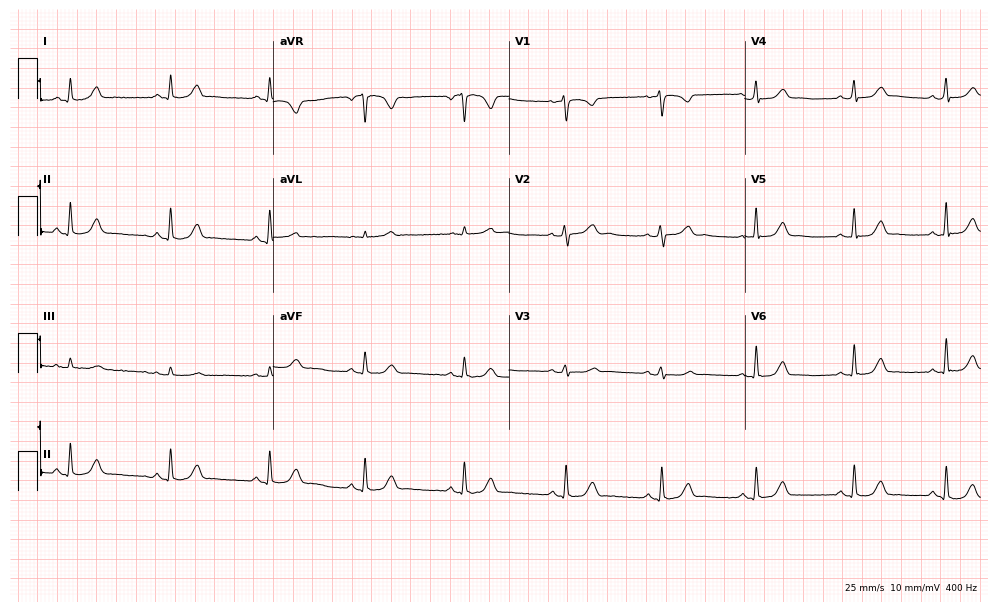
Standard 12-lead ECG recorded from a woman, 34 years old (9.6-second recording at 400 Hz). None of these six findings is recorded: first-degree AV block, right bundle branch block, left bundle branch block, sinus bradycardia, atrial fibrillation, sinus tachycardia.